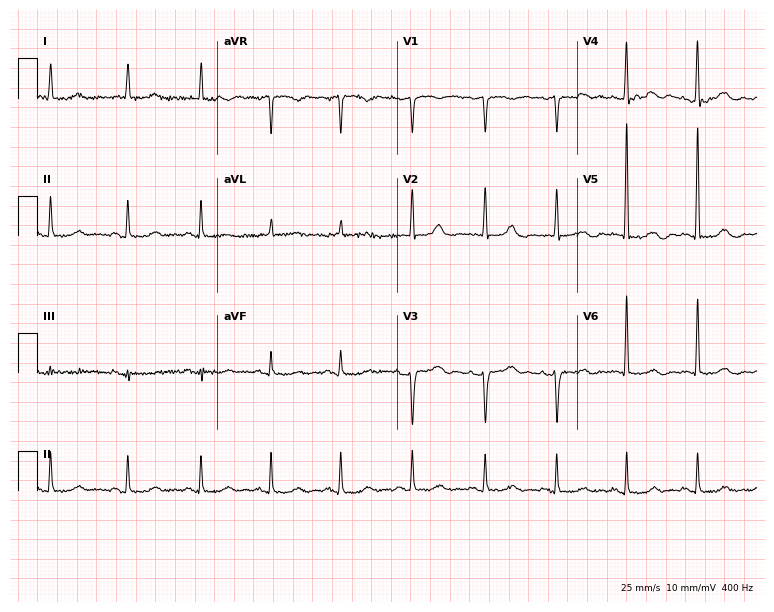
Resting 12-lead electrocardiogram. Patient: a female, 65 years old. None of these six findings is recorded: first-degree AV block, right bundle branch block, left bundle branch block, sinus bradycardia, atrial fibrillation, sinus tachycardia. Findings outside these six are not listed.